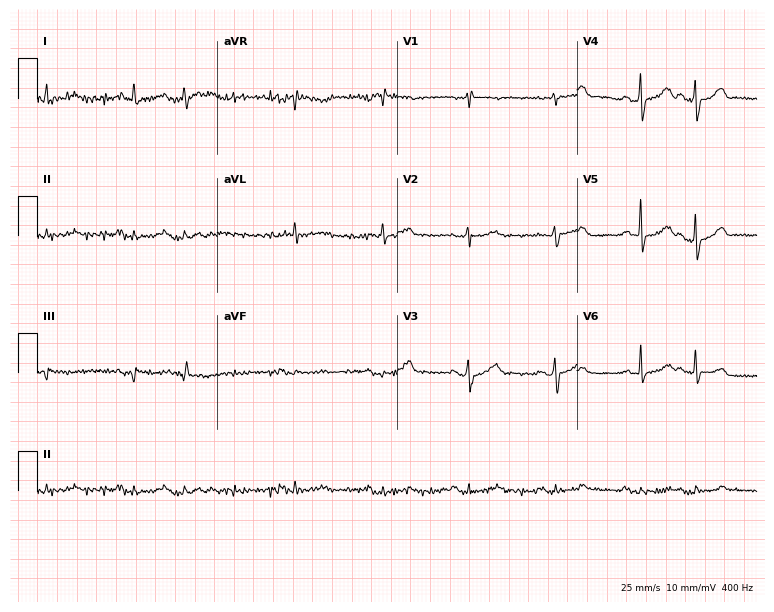
Electrocardiogram, a man, 80 years old. Of the six screened findings (first-degree AV block, right bundle branch block (RBBB), left bundle branch block (LBBB), sinus bradycardia, atrial fibrillation (AF), sinus tachycardia), none is recorded. Findings outside these six are not listed.